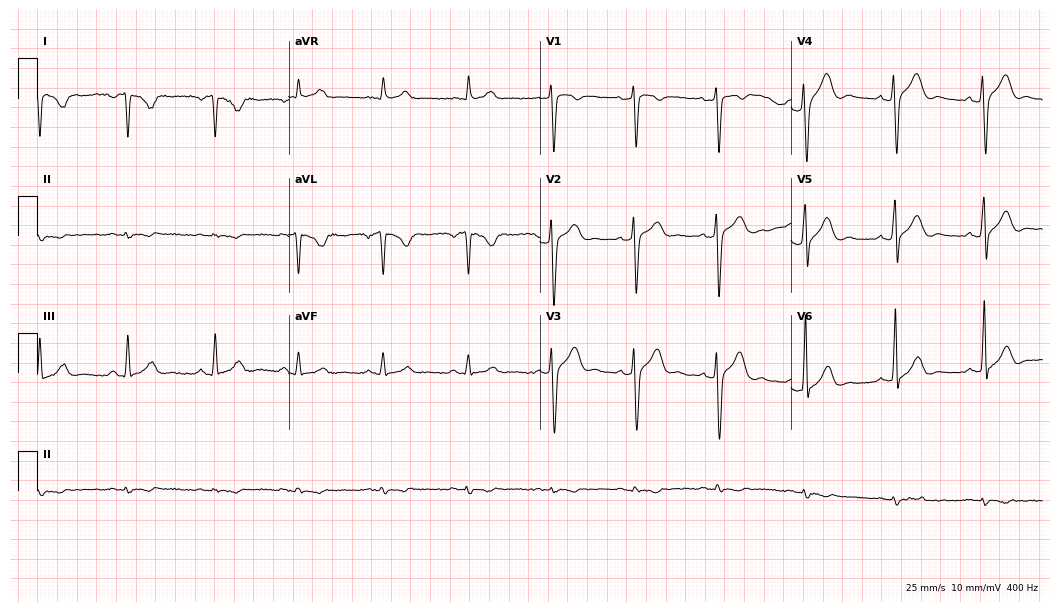
Resting 12-lead electrocardiogram (10.2-second recording at 400 Hz). Patient: a 37-year-old man. None of these six findings is recorded: first-degree AV block, right bundle branch block (RBBB), left bundle branch block (LBBB), sinus bradycardia, atrial fibrillation (AF), sinus tachycardia. Other findings, if any, are not listed.